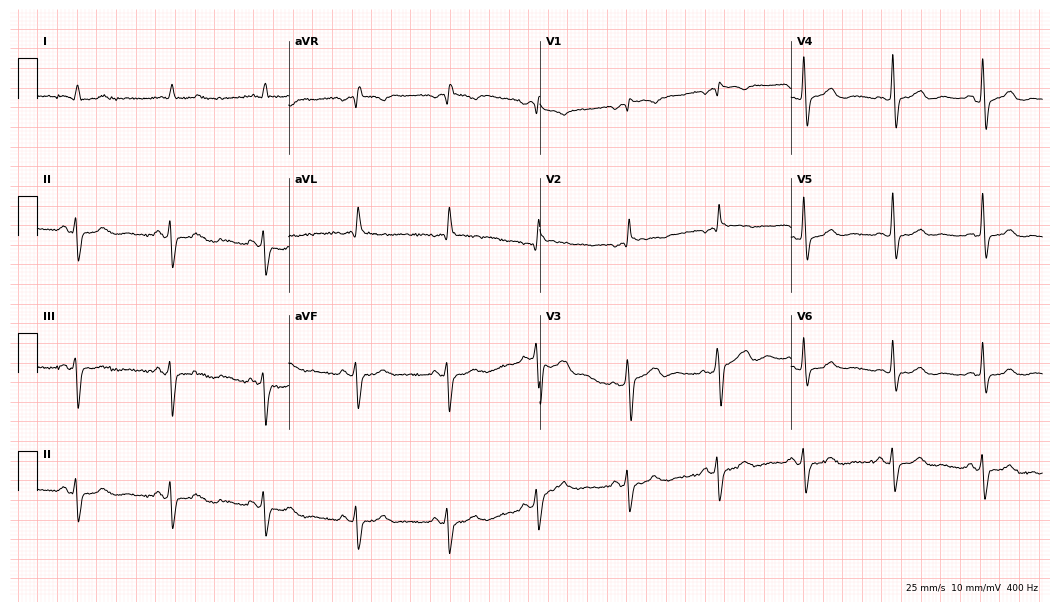
Resting 12-lead electrocardiogram. Patient: an 85-year-old male. The tracing shows left bundle branch block.